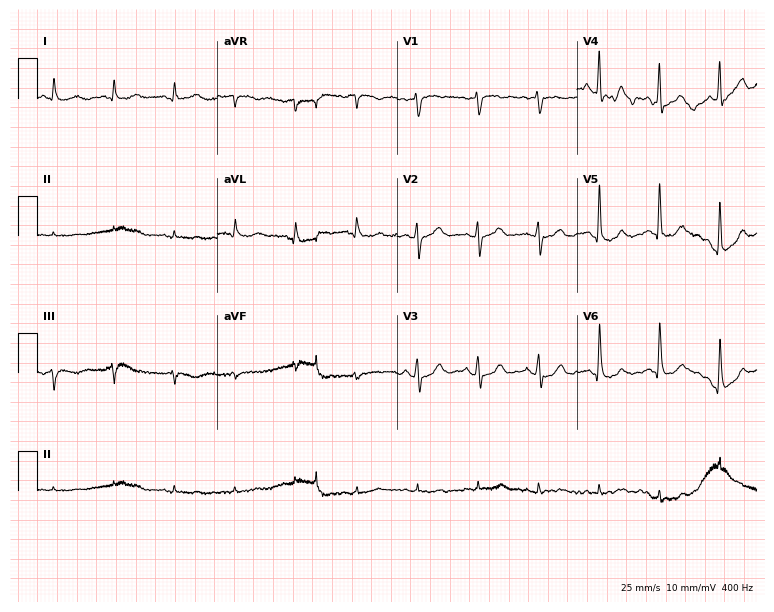
Resting 12-lead electrocardiogram (7.3-second recording at 400 Hz). Patient: a male, 81 years old. Read as a normal ECG.